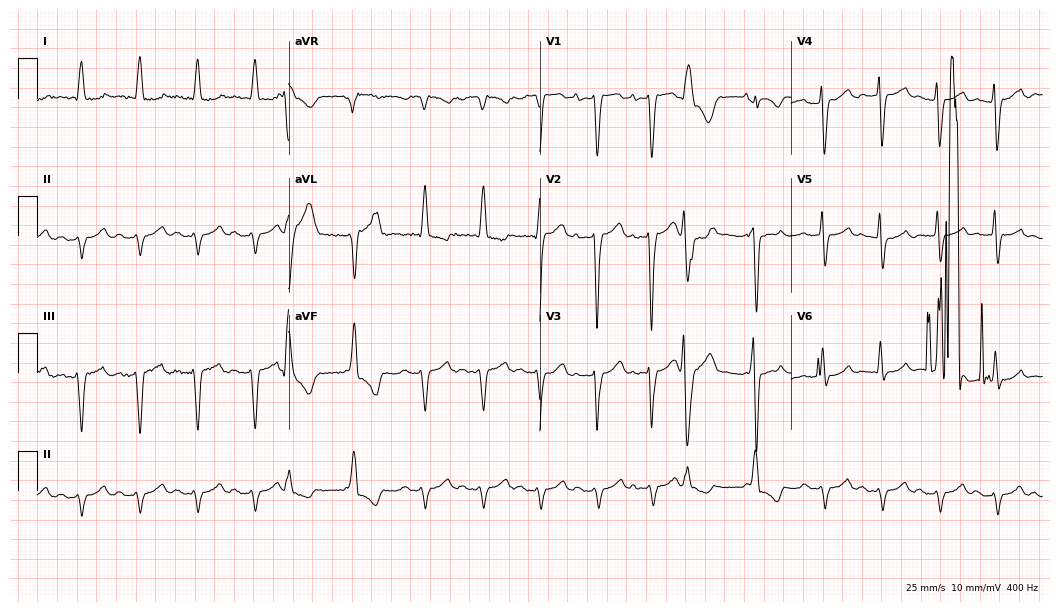
12-lead ECG from a female, 78 years old (10.2-second recording at 400 Hz). Shows left bundle branch block.